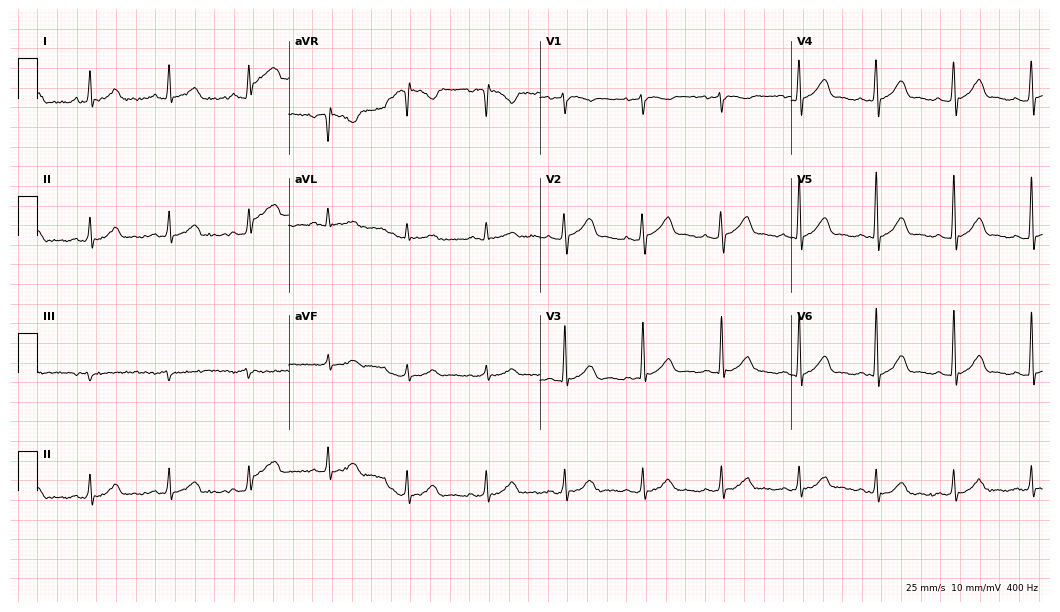
Standard 12-lead ECG recorded from a 45-year-old male patient (10.2-second recording at 400 Hz). Read as a normal ECG.